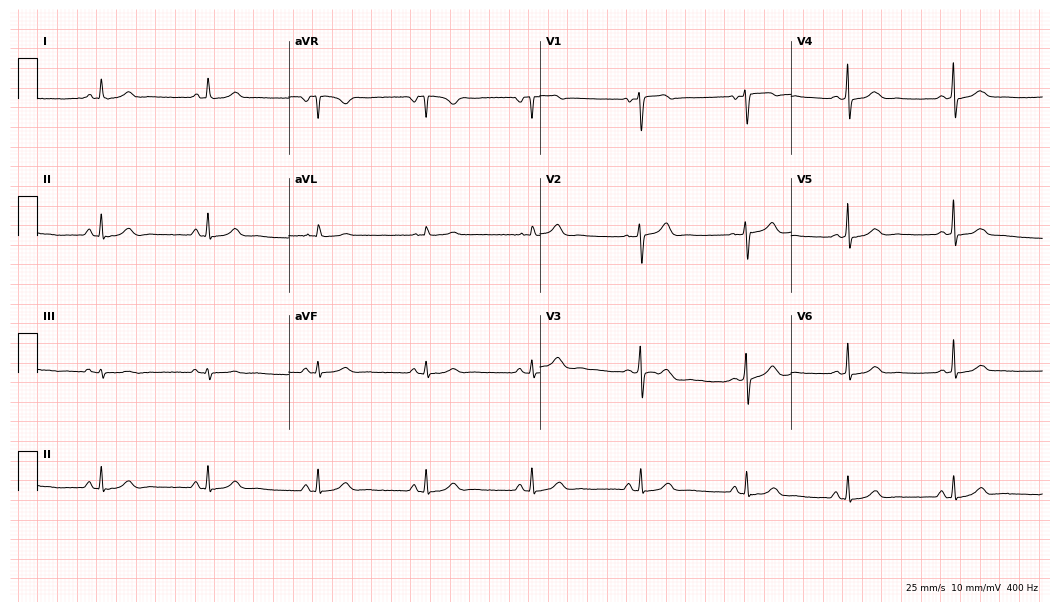
Resting 12-lead electrocardiogram. Patient: a 48-year-old woman. None of these six findings is recorded: first-degree AV block, right bundle branch block, left bundle branch block, sinus bradycardia, atrial fibrillation, sinus tachycardia.